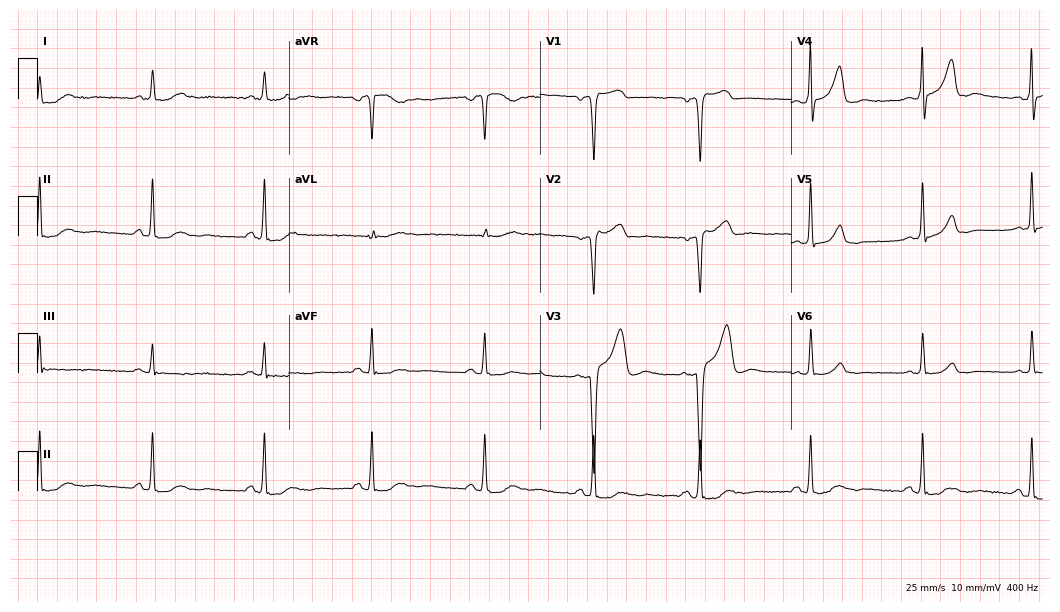
12-lead ECG (10.2-second recording at 400 Hz) from a male patient, 52 years old. Screened for six findings — first-degree AV block, right bundle branch block (RBBB), left bundle branch block (LBBB), sinus bradycardia, atrial fibrillation (AF), sinus tachycardia — none is recorded.